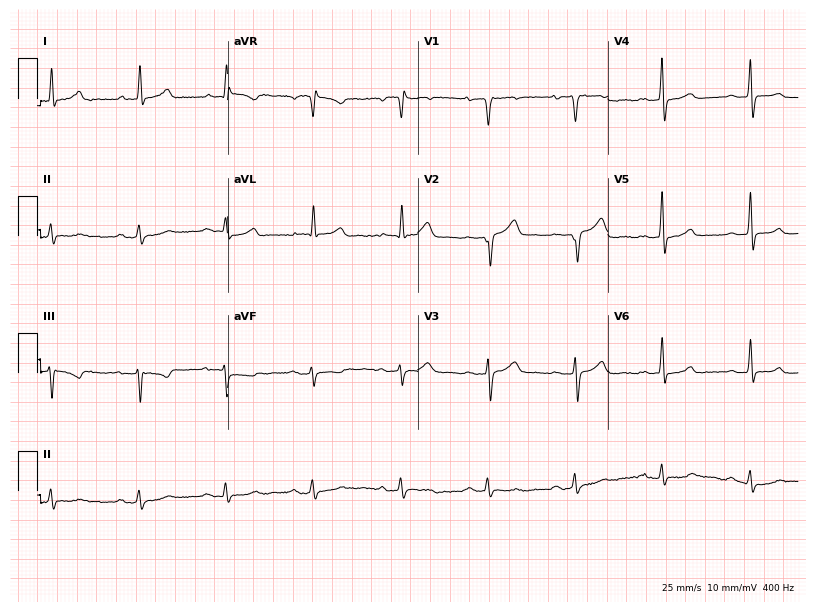
12-lead ECG from a 59-year-old male. Screened for six findings — first-degree AV block, right bundle branch block, left bundle branch block, sinus bradycardia, atrial fibrillation, sinus tachycardia — none is recorded.